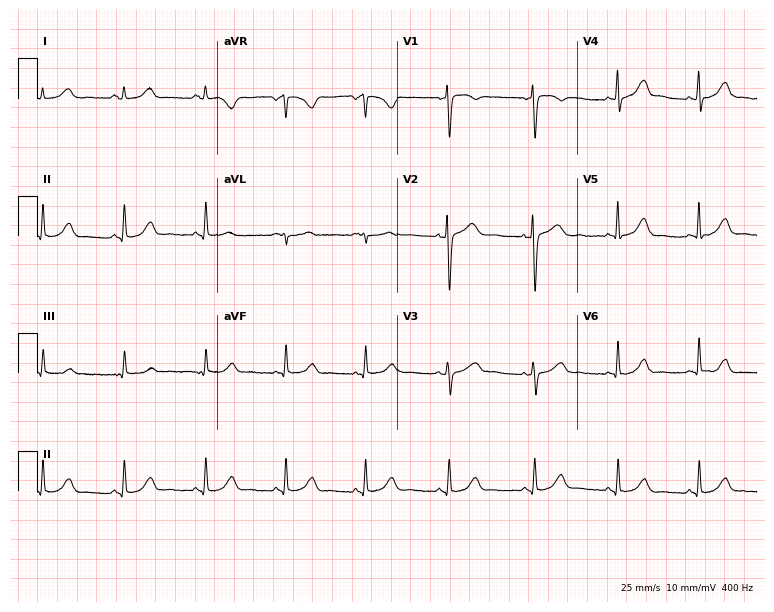
Electrocardiogram, a 35-year-old female patient. Overall reading on record: normal ECG.